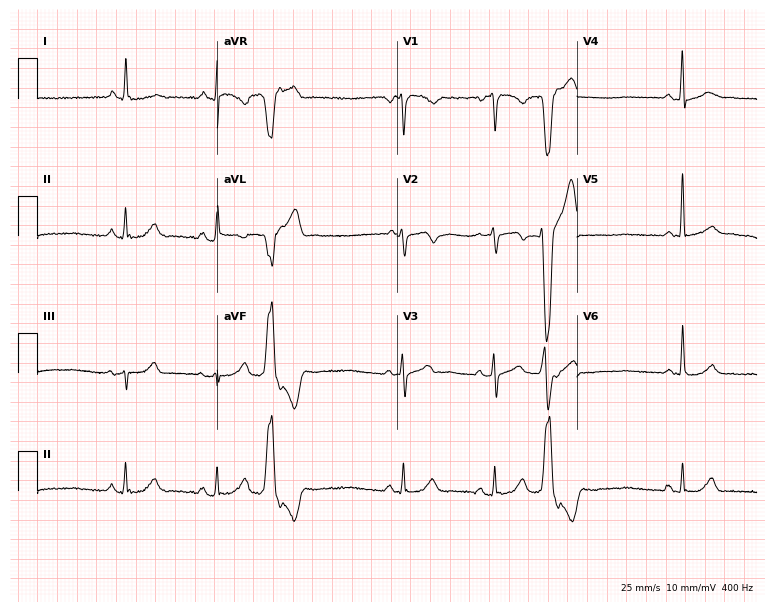
12-lead ECG from a 47-year-old man. No first-degree AV block, right bundle branch block (RBBB), left bundle branch block (LBBB), sinus bradycardia, atrial fibrillation (AF) or sinus tachycardia recorded for this tracing.